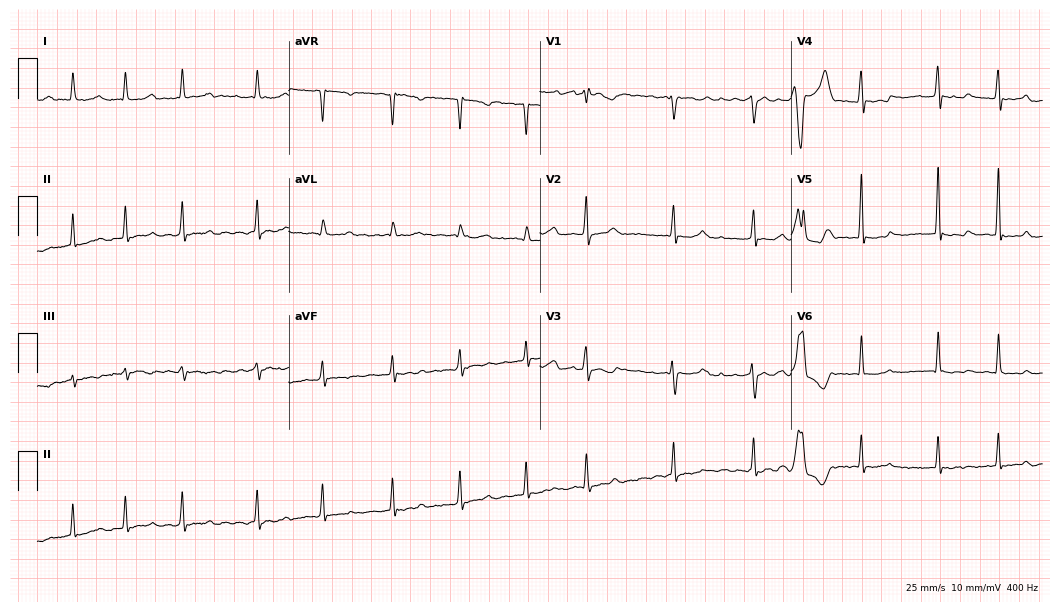
Resting 12-lead electrocardiogram. Patient: a 57-year-old female. The tracing shows atrial fibrillation.